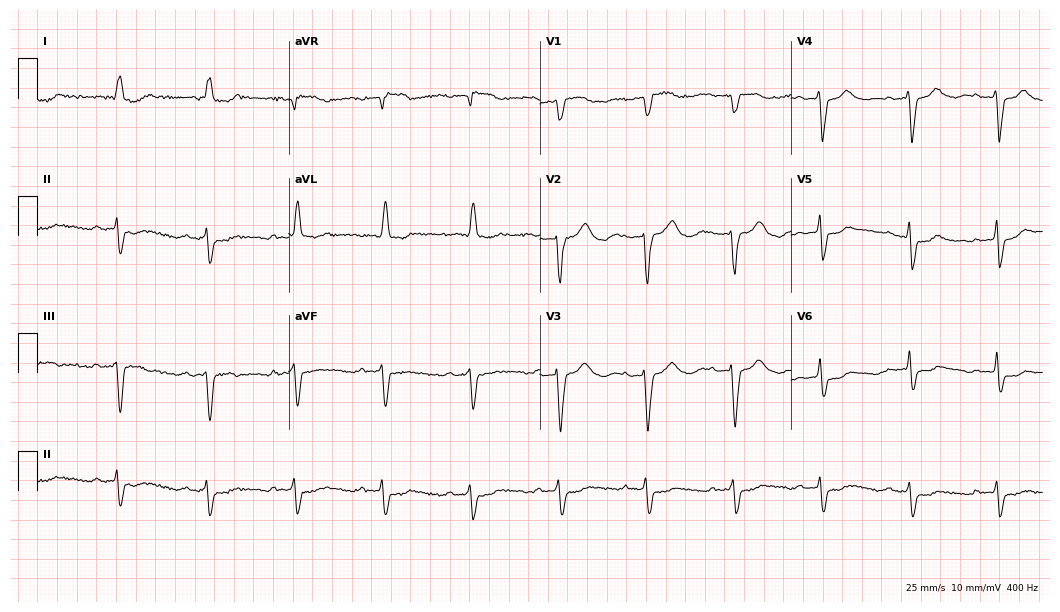
ECG (10.2-second recording at 400 Hz) — an 81-year-old female. Findings include first-degree AV block, left bundle branch block.